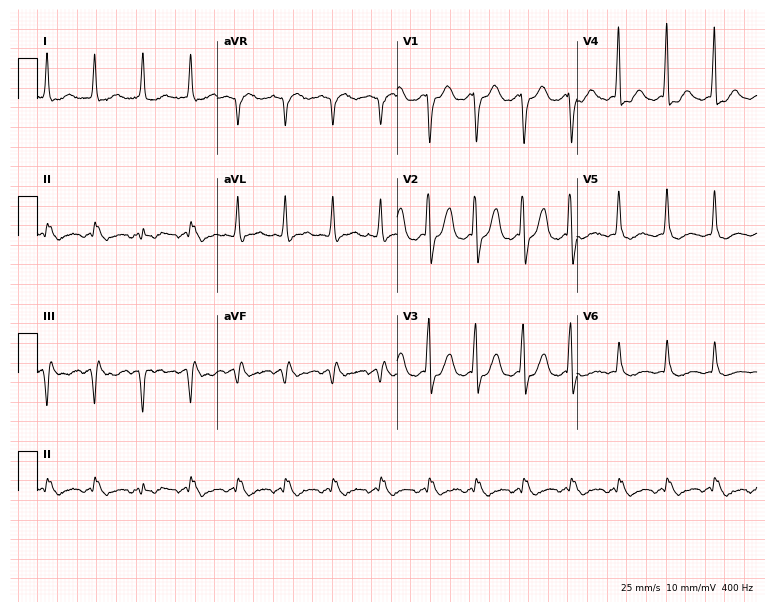
Electrocardiogram (7.3-second recording at 400 Hz), a man, 75 years old. Of the six screened findings (first-degree AV block, right bundle branch block, left bundle branch block, sinus bradycardia, atrial fibrillation, sinus tachycardia), none is recorded.